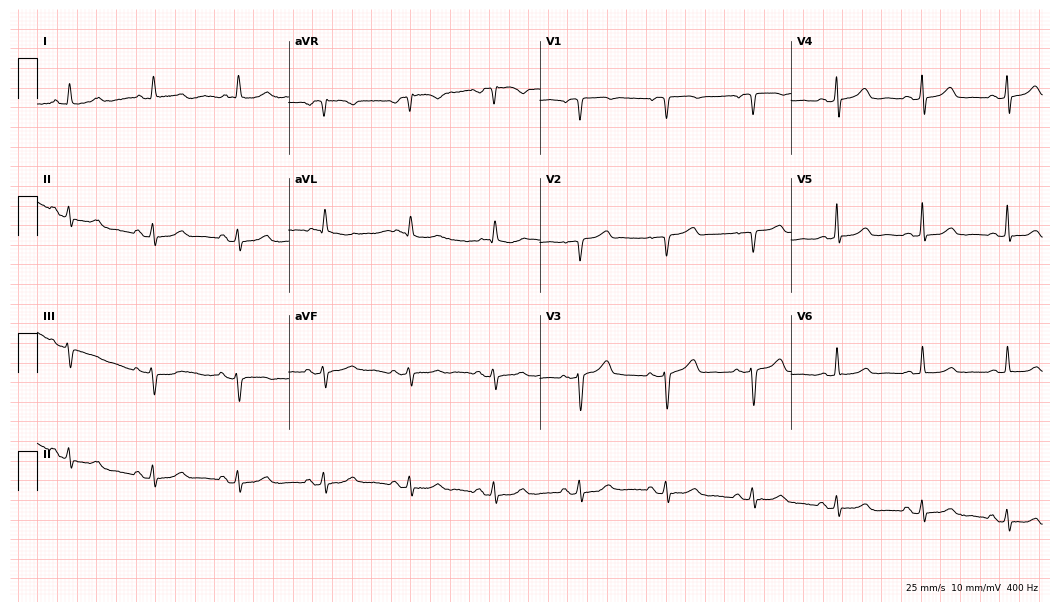
Electrocardiogram (10.2-second recording at 400 Hz), a woman, 70 years old. Overall reading on record: normal ECG.